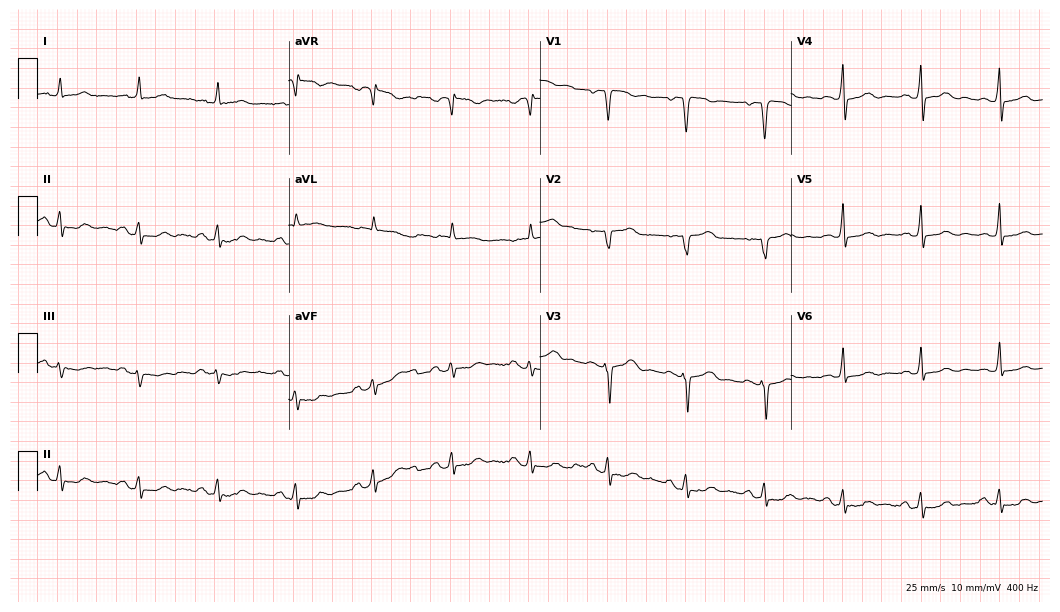
12-lead ECG from a 69-year-old male (10.2-second recording at 400 Hz). No first-degree AV block, right bundle branch block, left bundle branch block, sinus bradycardia, atrial fibrillation or sinus tachycardia recorded for this tracing.